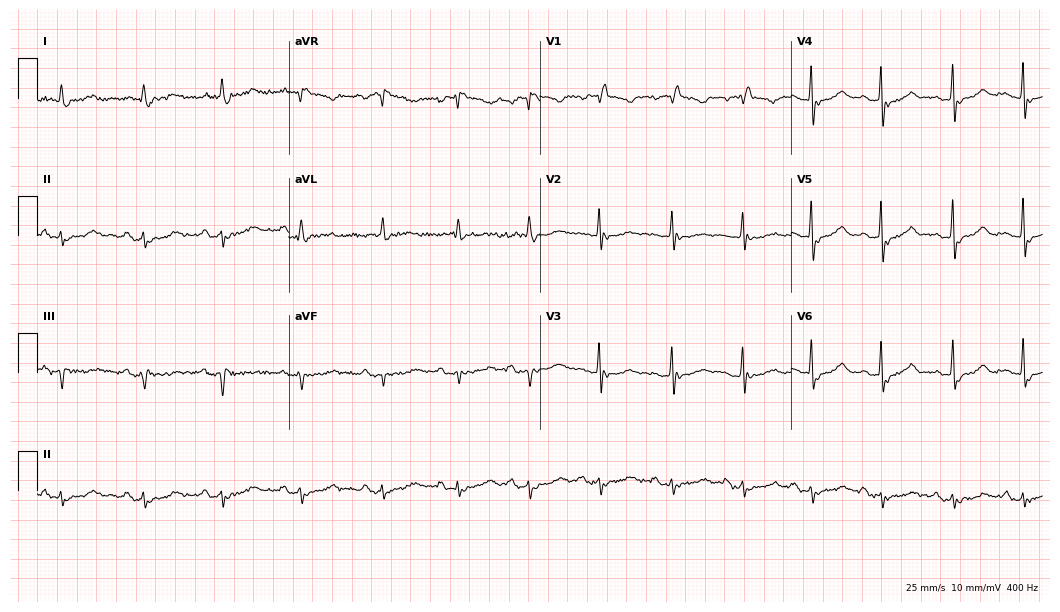
Standard 12-lead ECG recorded from an 82-year-old female patient (10.2-second recording at 400 Hz). None of these six findings is recorded: first-degree AV block, right bundle branch block, left bundle branch block, sinus bradycardia, atrial fibrillation, sinus tachycardia.